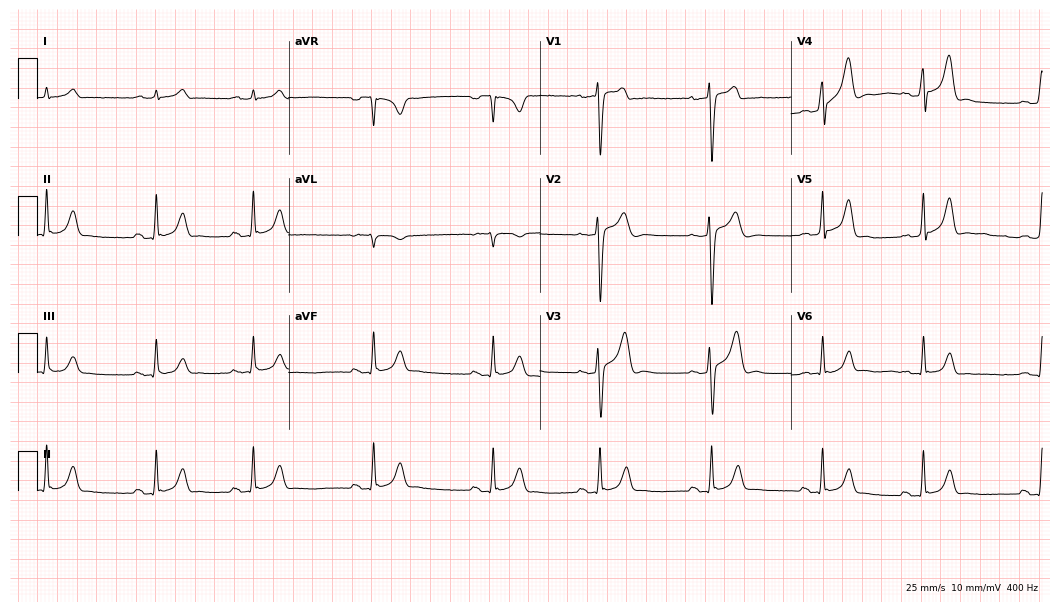
12-lead ECG (10.2-second recording at 400 Hz) from a male, 23 years old. Screened for six findings — first-degree AV block, right bundle branch block (RBBB), left bundle branch block (LBBB), sinus bradycardia, atrial fibrillation (AF), sinus tachycardia — none is recorded. Other findings, if any, are not listed.